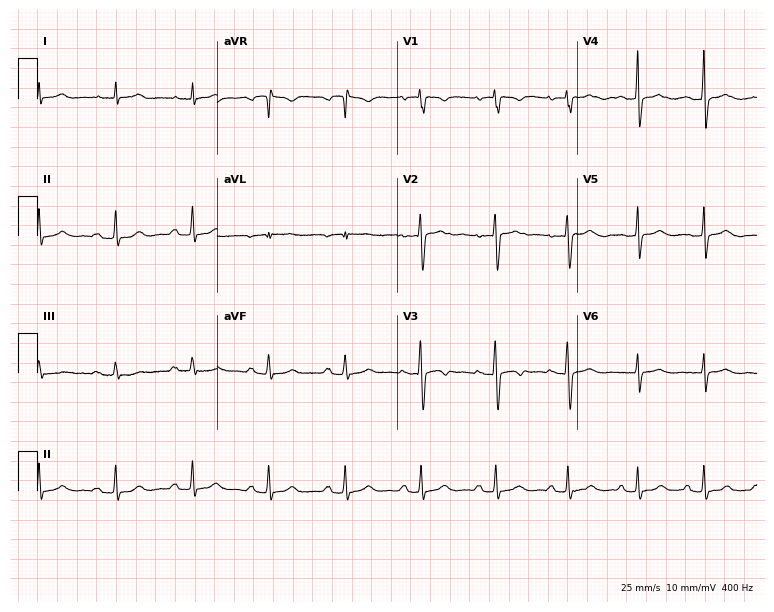
Standard 12-lead ECG recorded from a 32-year-old female patient. Read as a normal ECG.